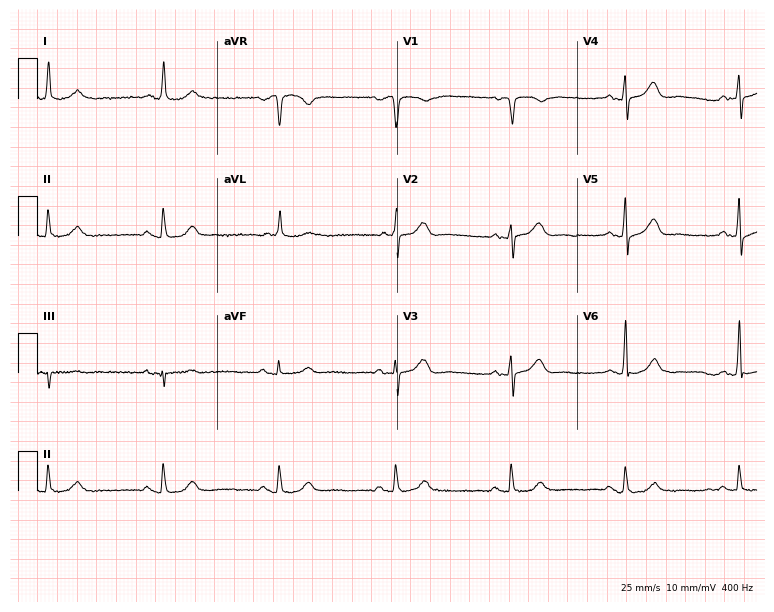
12-lead ECG (7.3-second recording at 400 Hz) from a male, 64 years old. Screened for six findings — first-degree AV block, right bundle branch block, left bundle branch block, sinus bradycardia, atrial fibrillation, sinus tachycardia — none is recorded.